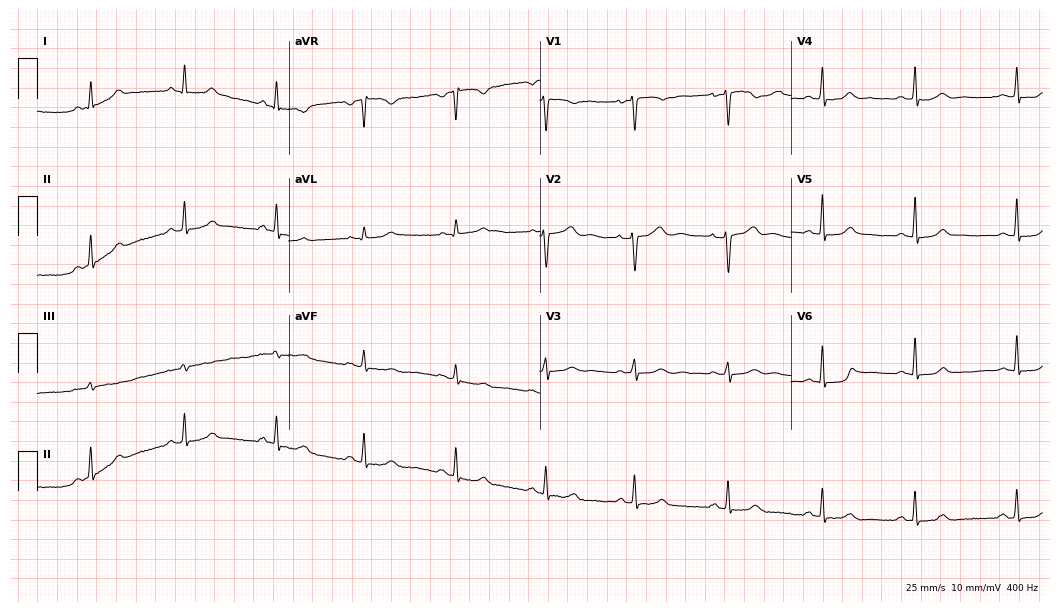
ECG (10.2-second recording at 400 Hz) — a 34-year-old female. Labelled as a normal ECG.